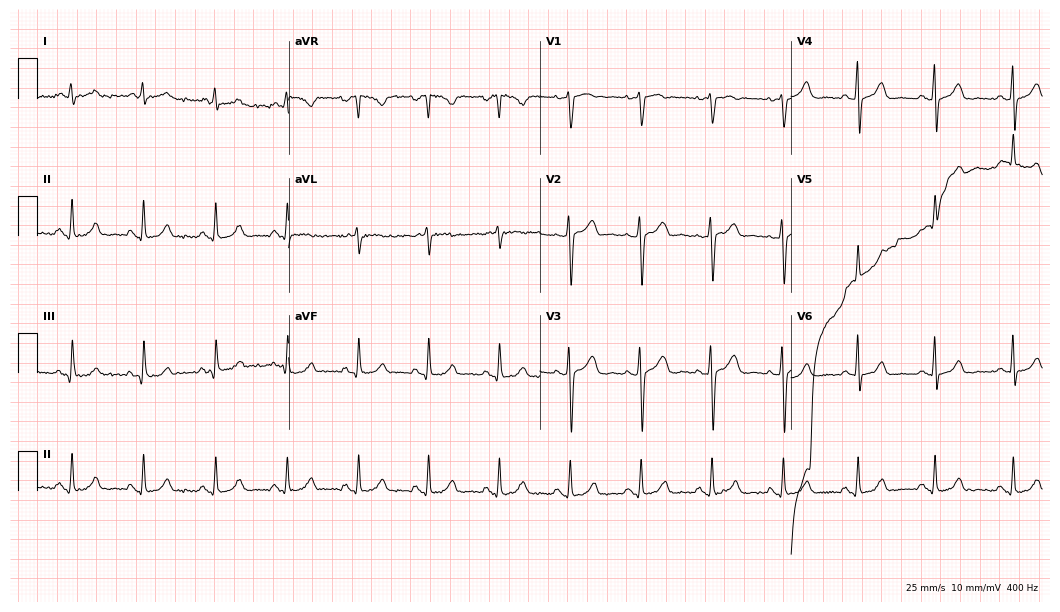
Electrocardiogram, a female, 51 years old. Overall reading on record: normal ECG.